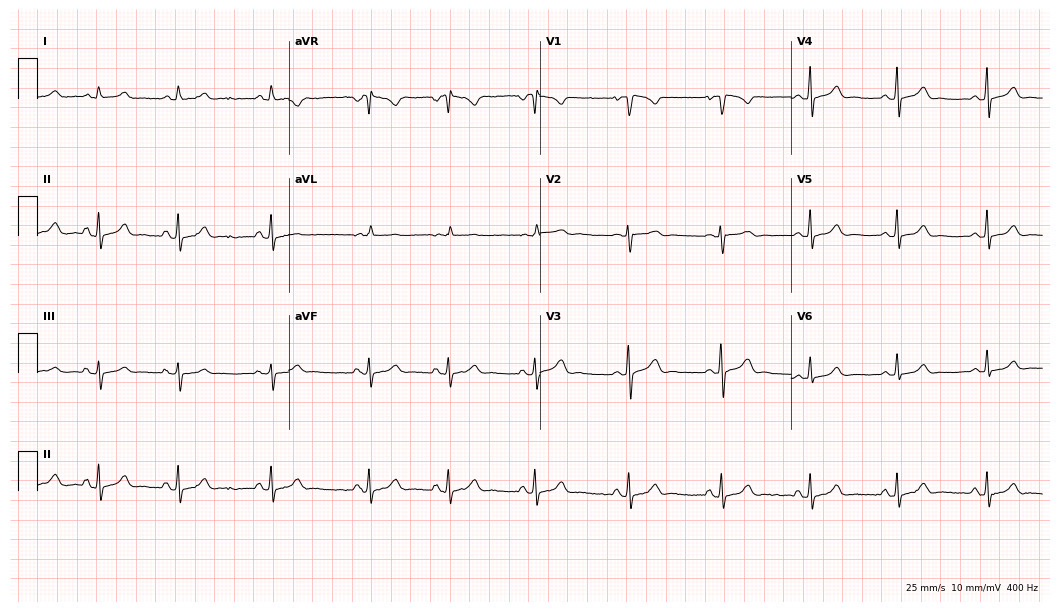
12-lead ECG from a woman, 17 years old. Labelled as a normal ECG.